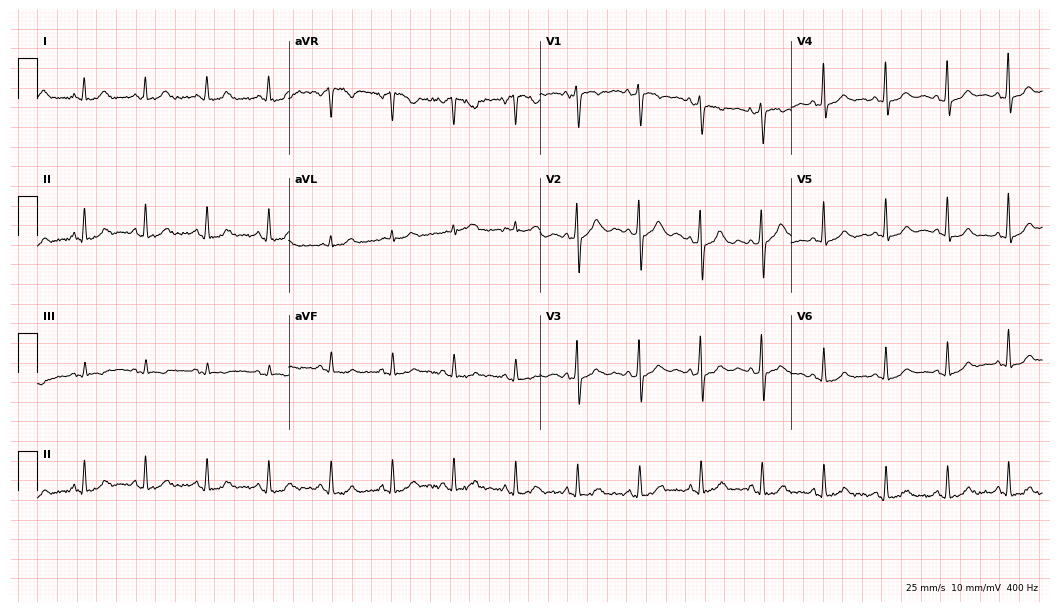
12-lead ECG from a female patient, 74 years old (10.2-second recording at 400 Hz). Recorded interpretation: within normal limits.